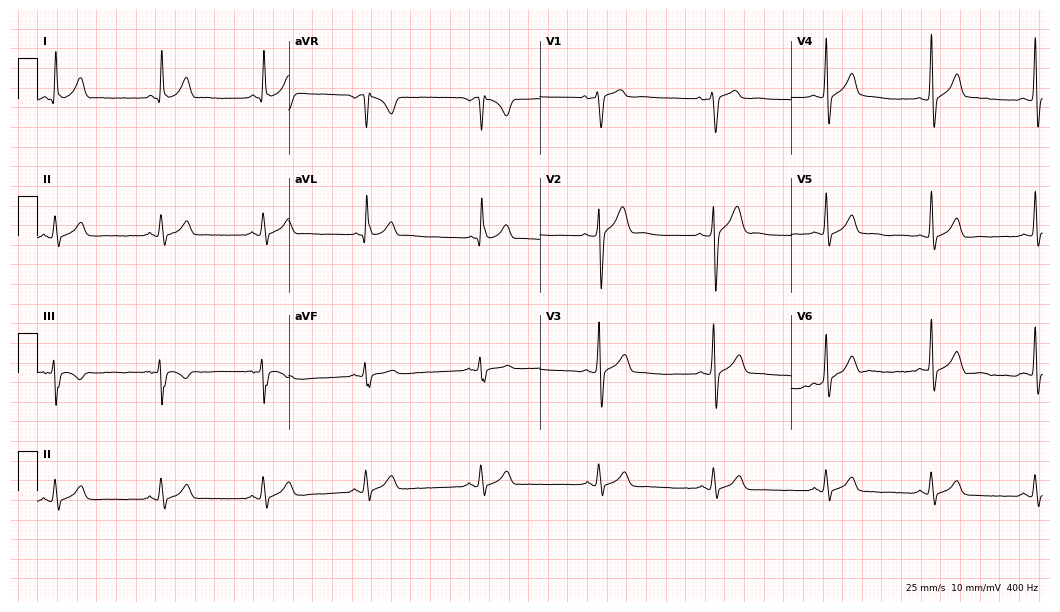
12-lead ECG from a female, 18 years old. Labelled as a normal ECG.